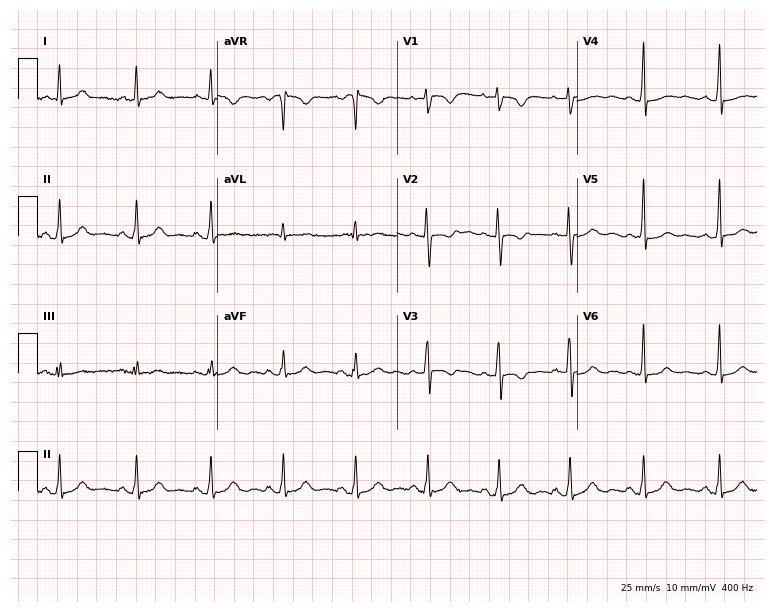
12-lead ECG from a woman, 43 years old (7.3-second recording at 400 Hz). No first-degree AV block, right bundle branch block, left bundle branch block, sinus bradycardia, atrial fibrillation or sinus tachycardia recorded for this tracing.